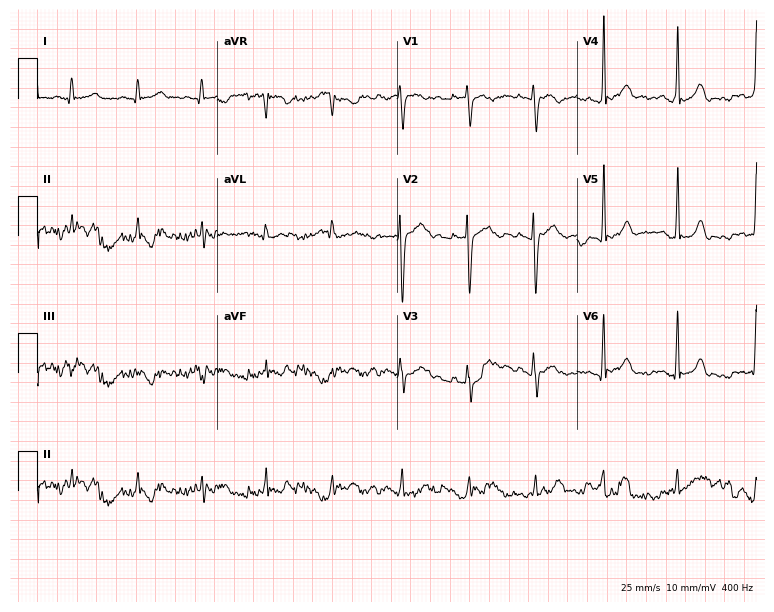
12-lead ECG (7.3-second recording at 400 Hz) from a 21-year-old female. Labelled as a normal ECG.